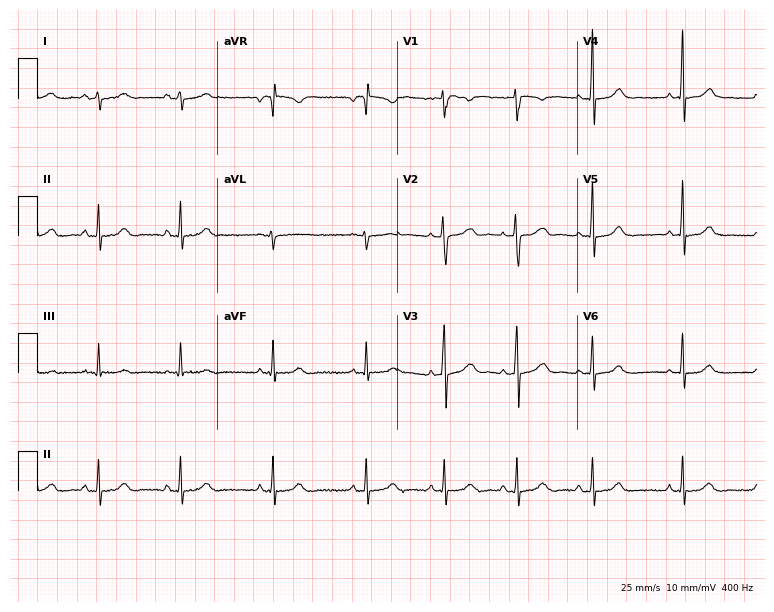
12-lead ECG (7.3-second recording at 400 Hz) from a female, 23 years old. Screened for six findings — first-degree AV block, right bundle branch block (RBBB), left bundle branch block (LBBB), sinus bradycardia, atrial fibrillation (AF), sinus tachycardia — none is recorded. Other findings, if any, are not listed.